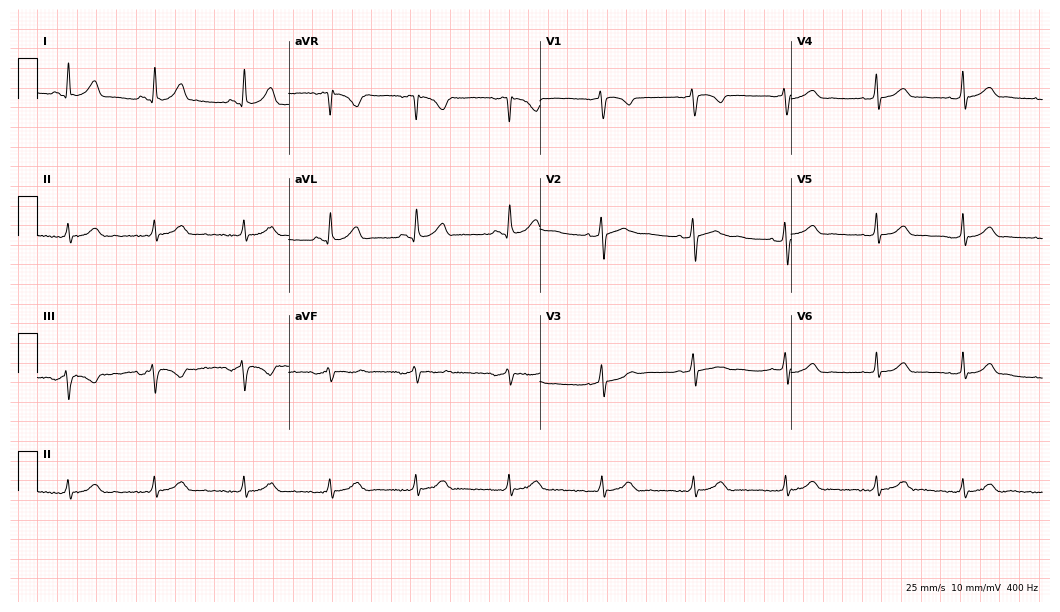
Resting 12-lead electrocardiogram (10.2-second recording at 400 Hz). Patient: a woman, 26 years old. Read as a normal ECG.